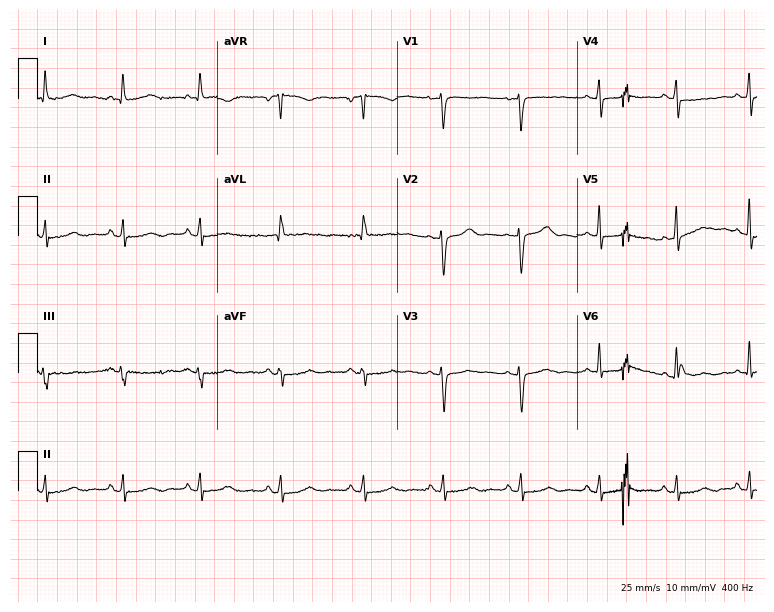
Standard 12-lead ECG recorded from a female, 49 years old. Read as a normal ECG.